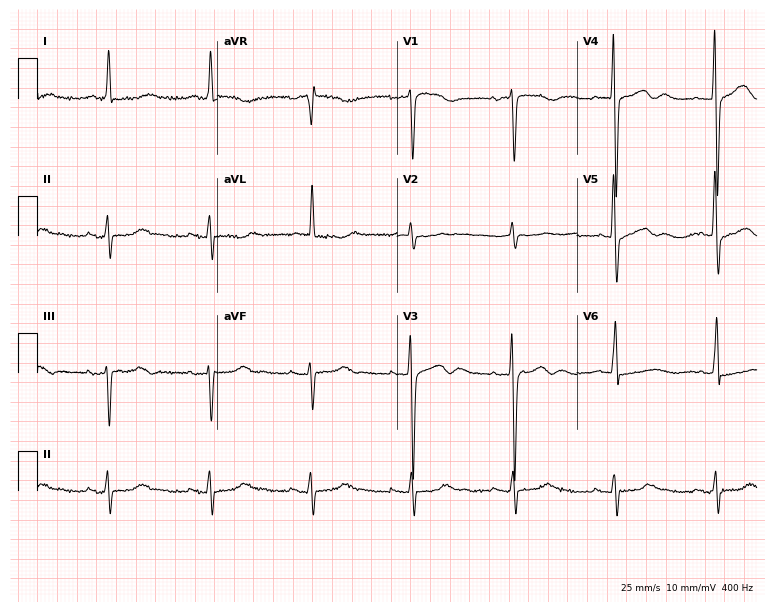
Resting 12-lead electrocardiogram. Patient: a female, 83 years old. None of these six findings is recorded: first-degree AV block, right bundle branch block (RBBB), left bundle branch block (LBBB), sinus bradycardia, atrial fibrillation (AF), sinus tachycardia. Findings outside these six are not listed.